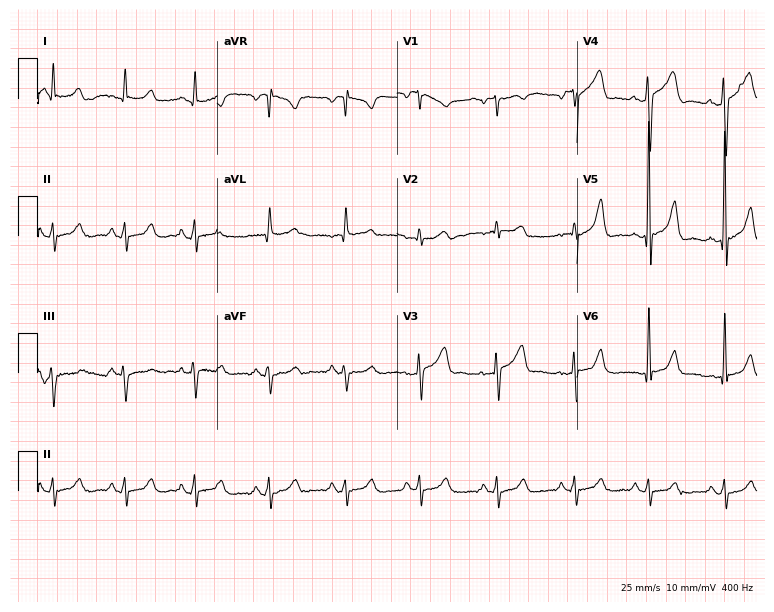
Standard 12-lead ECG recorded from a 51-year-old male patient. None of these six findings is recorded: first-degree AV block, right bundle branch block, left bundle branch block, sinus bradycardia, atrial fibrillation, sinus tachycardia.